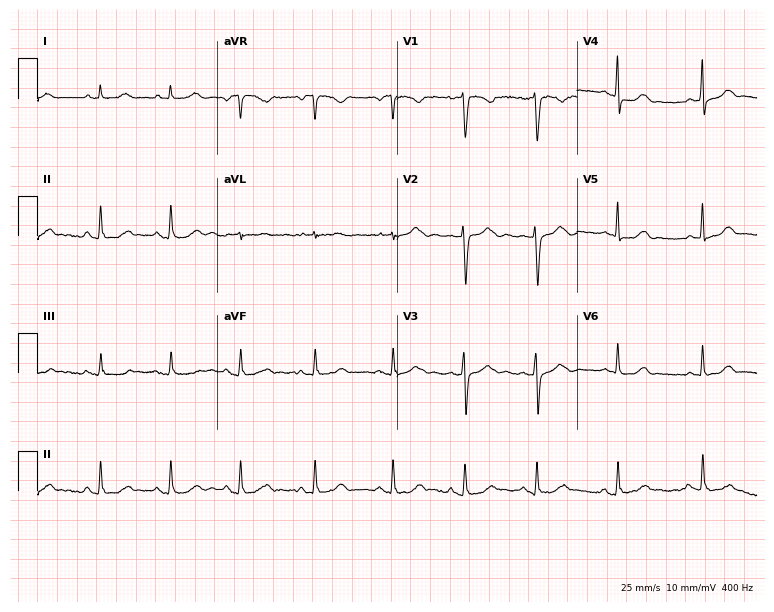
ECG — a female, 20 years old. Labelled as a normal ECG.